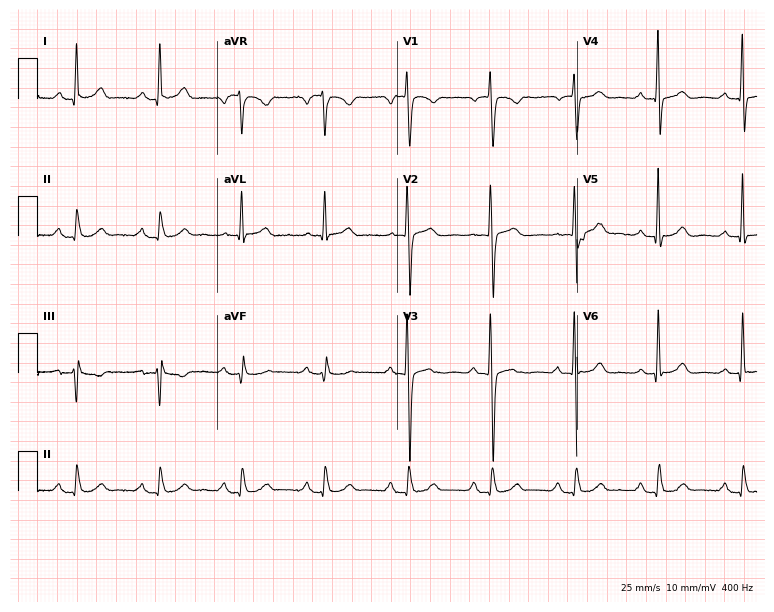
Electrocardiogram (7.3-second recording at 400 Hz), a 63-year-old male patient. Overall reading on record: normal ECG.